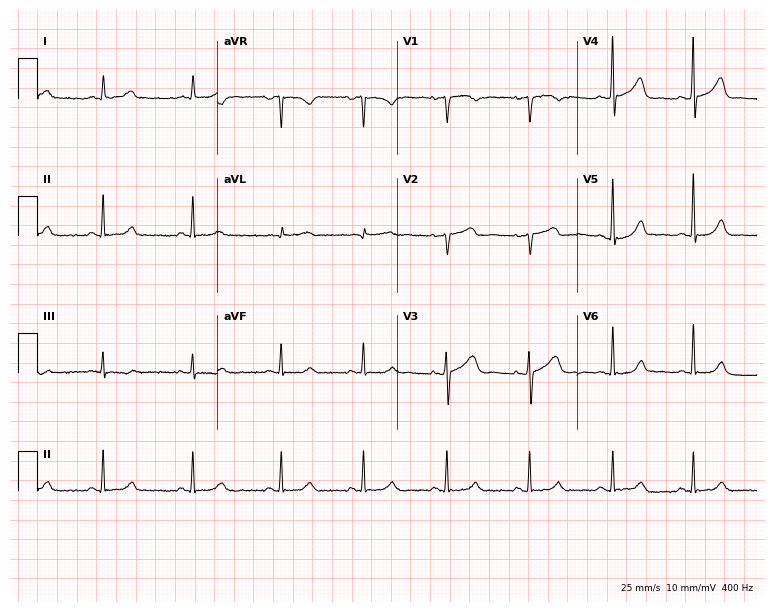
ECG — a 56-year-old female. Screened for six findings — first-degree AV block, right bundle branch block, left bundle branch block, sinus bradycardia, atrial fibrillation, sinus tachycardia — none is recorded. Only these six findings were labelled.